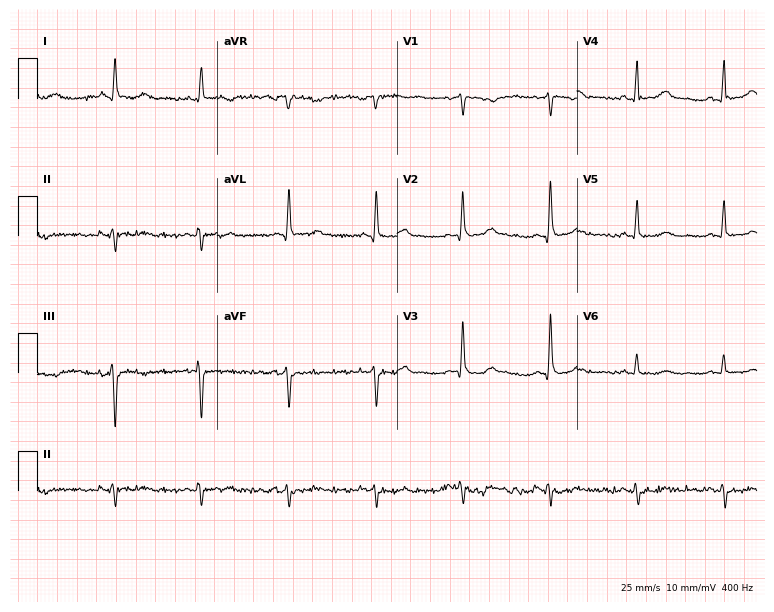
Resting 12-lead electrocardiogram. Patient: a male, 85 years old. None of these six findings is recorded: first-degree AV block, right bundle branch block, left bundle branch block, sinus bradycardia, atrial fibrillation, sinus tachycardia.